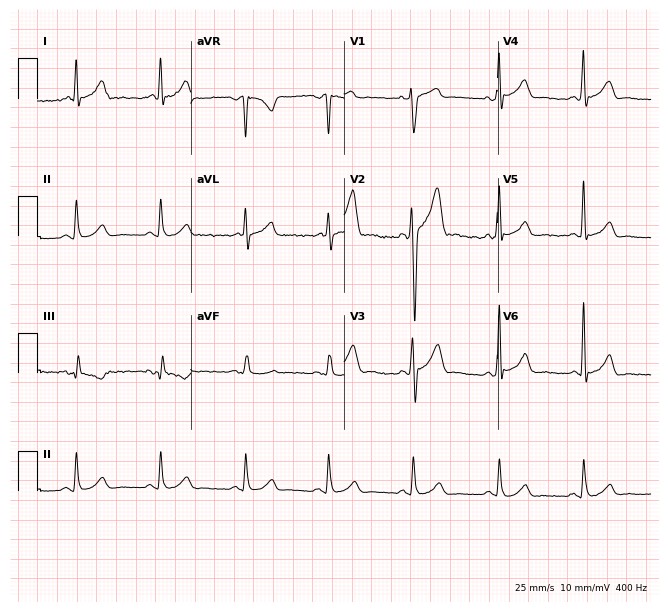
Standard 12-lead ECG recorded from a male patient, 43 years old. Read as a normal ECG.